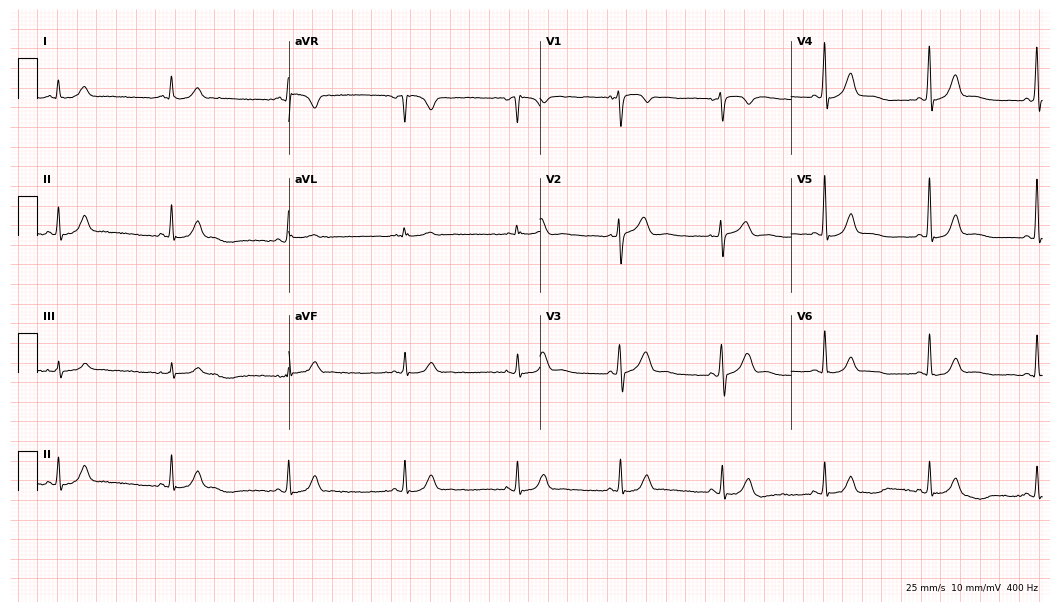
Resting 12-lead electrocardiogram. Patient: a male, 61 years old. Read as a normal ECG.